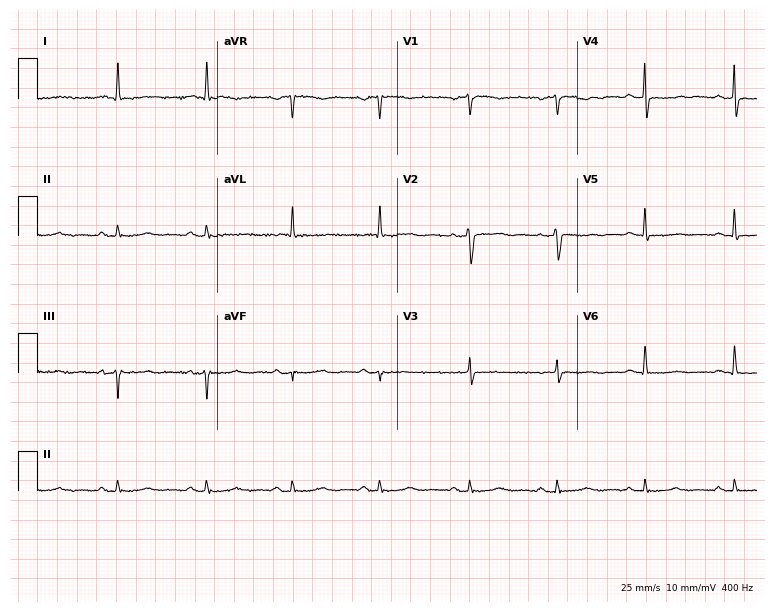
Electrocardiogram, a female, 80 years old. Of the six screened findings (first-degree AV block, right bundle branch block, left bundle branch block, sinus bradycardia, atrial fibrillation, sinus tachycardia), none is recorded. Findings outside these six are not listed.